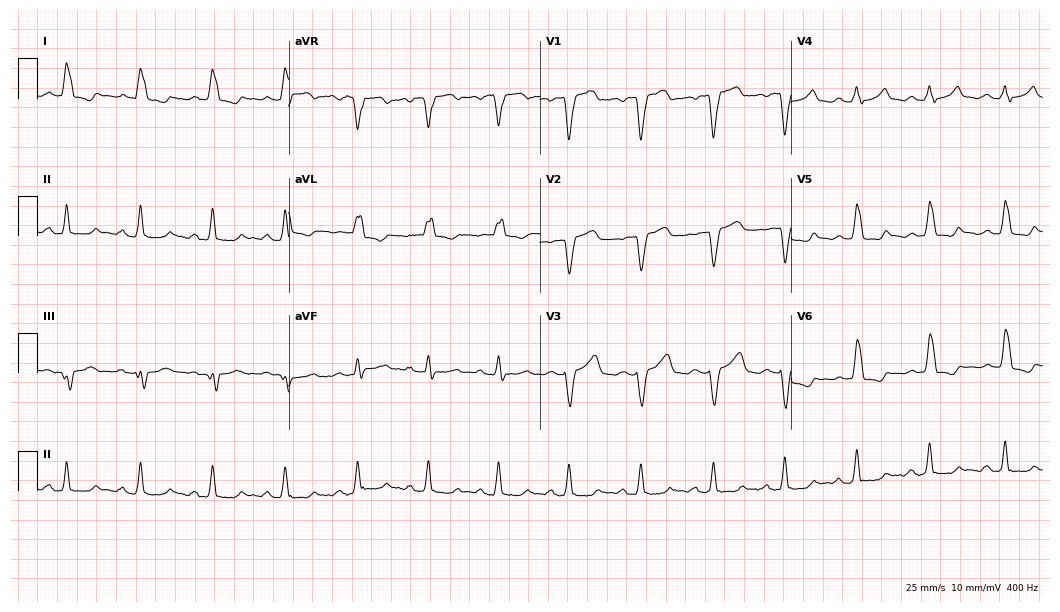
Electrocardiogram (10.2-second recording at 400 Hz), an 80-year-old female. Interpretation includes left bundle branch block.